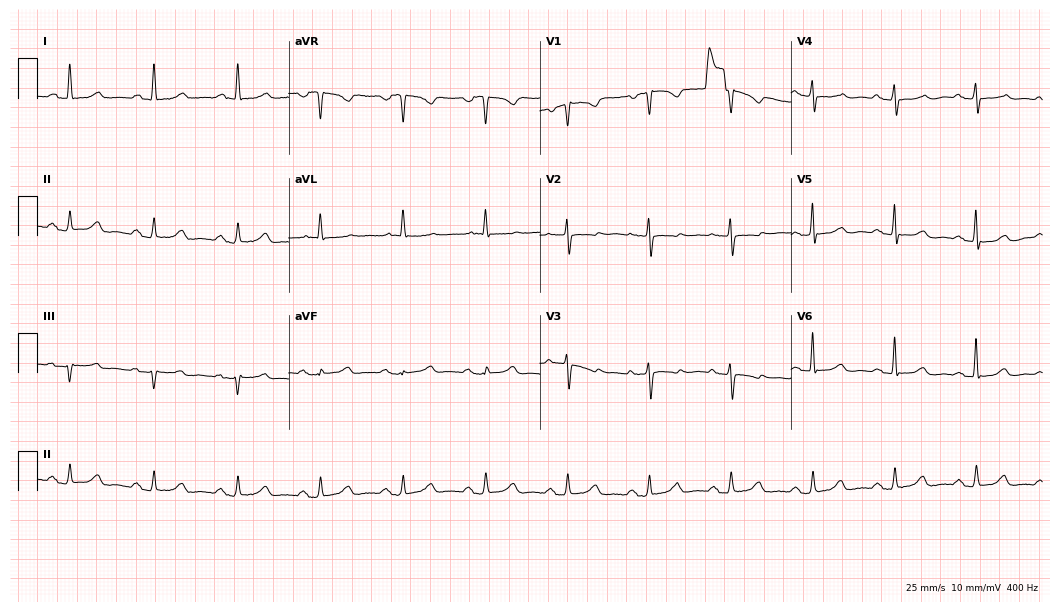
12-lead ECG from a woman, 81 years old. Screened for six findings — first-degree AV block, right bundle branch block (RBBB), left bundle branch block (LBBB), sinus bradycardia, atrial fibrillation (AF), sinus tachycardia — none is recorded. Findings outside these six are not listed.